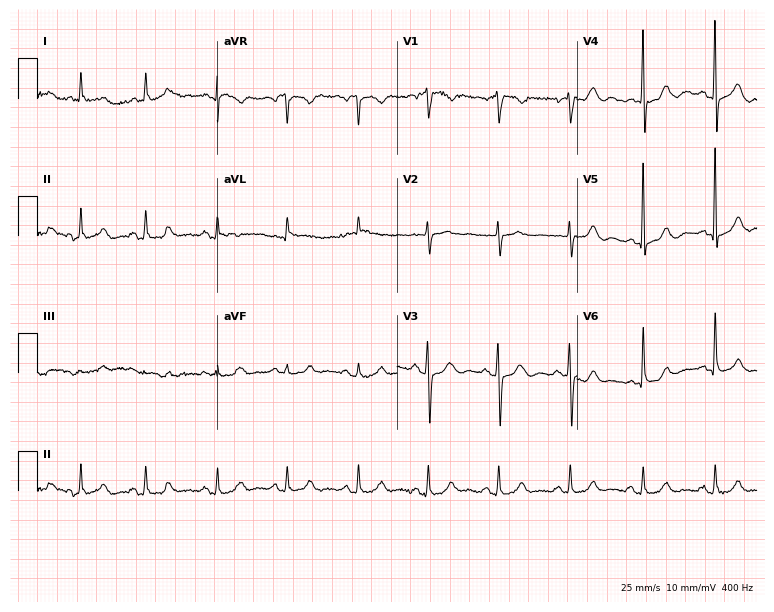
12-lead ECG from a male patient, 80 years old. Labelled as a normal ECG.